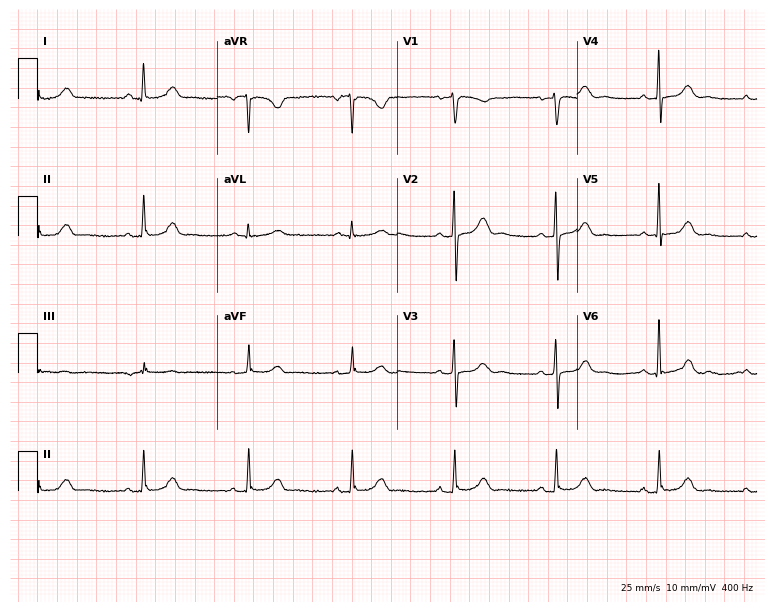
12-lead ECG (7.3-second recording at 400 Hz) from a female, 63 years old. Labelled as a normal ECG.